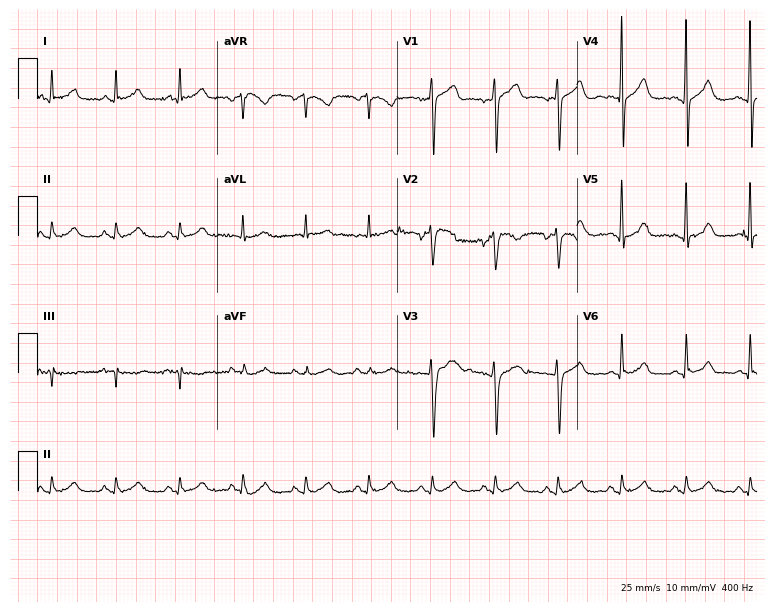
Standard 12-lead ECG recorded from a male, 59 years old. None of these six findings is recorded: first-degree AV block, right bundle branch block (RBBB), left bundle branch block (LBBB), sinus bradycardia, atrial fibrillation (AF), sinus tachycardia.